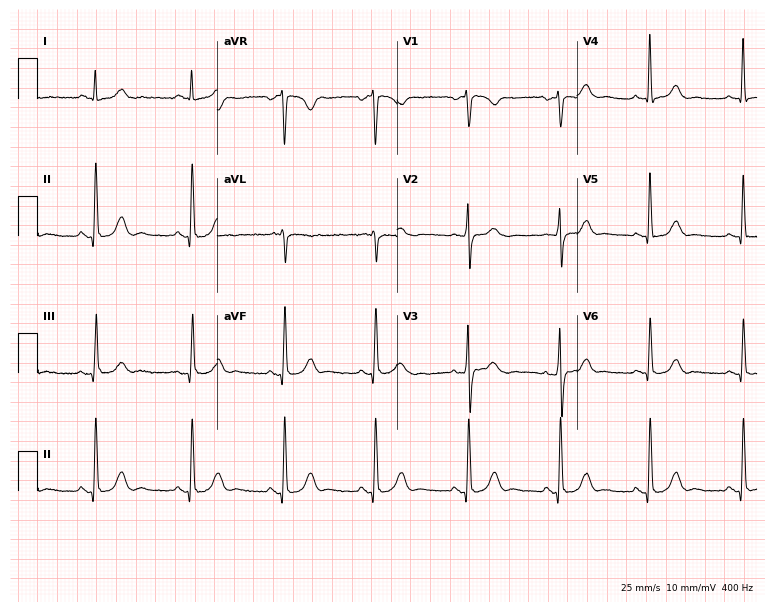
Resting 12-lead electrocardiogram. Patient: a female, 63 years old. Read as a normal ECG.